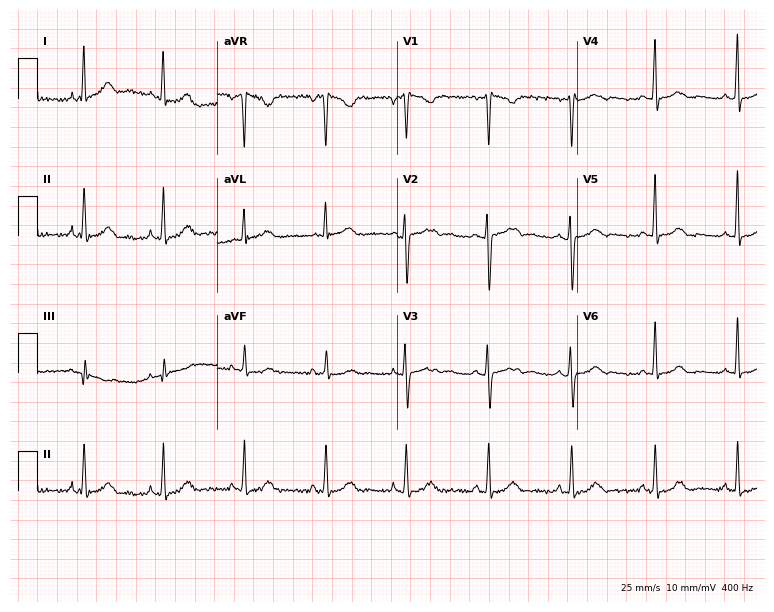
Standard 12-lead ECG recorded from a female patient, 52 years old. Read as a normal ECG.